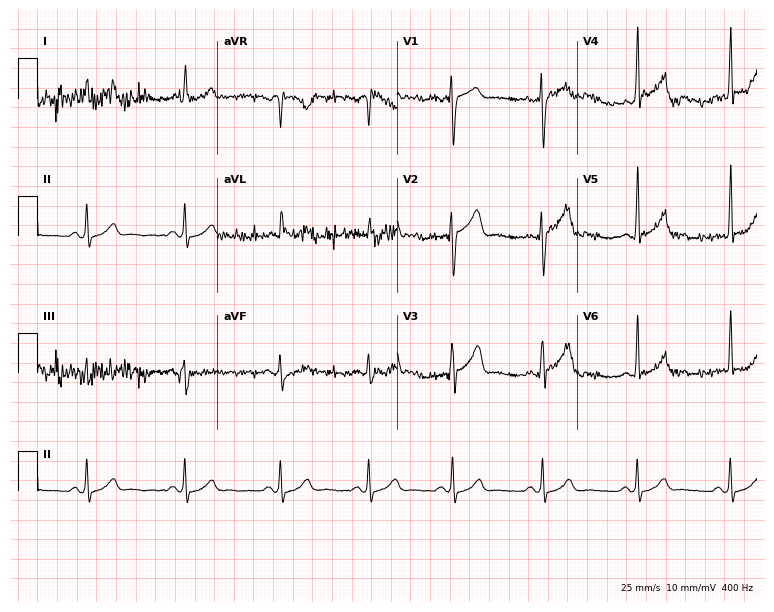
12-lead ECG from a male, 31 years old. Screened for six findings — first-degree AV block, right bundle branch block, left bundle branch block, sinus bradycardia, atrial fibrillation, sinus tachycardia — none is recorded.